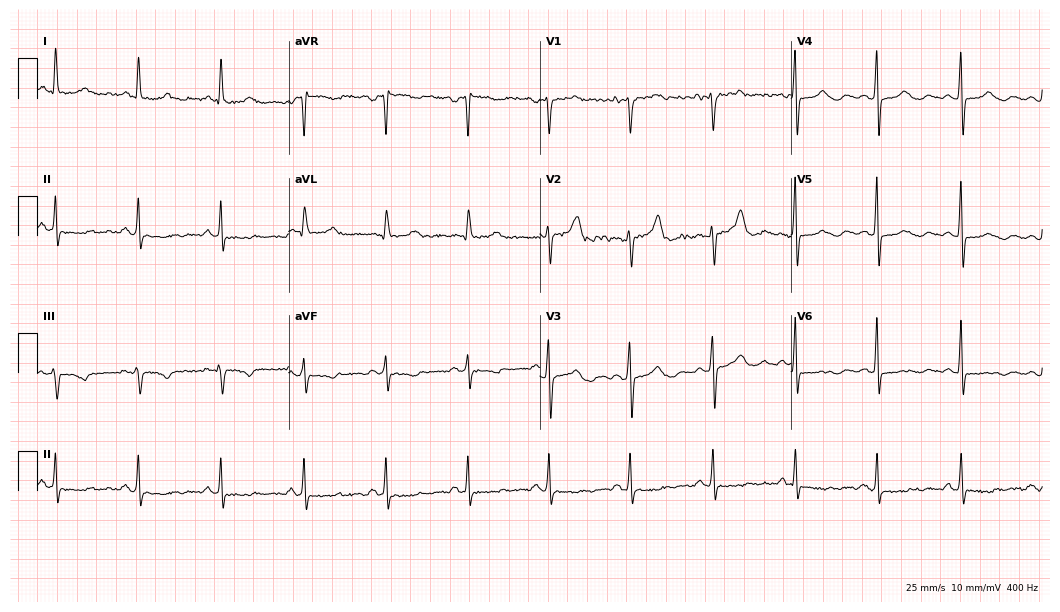
Standard 12-lead ECG recorded from a 53-year-old female patient. None of these six findings is recorded: first-degree AV block, right bundle branch block, left bundle branch block, sinus bradycardia, atrial fibrillation, sinus tachycardia. Findings outside these six are not listed.